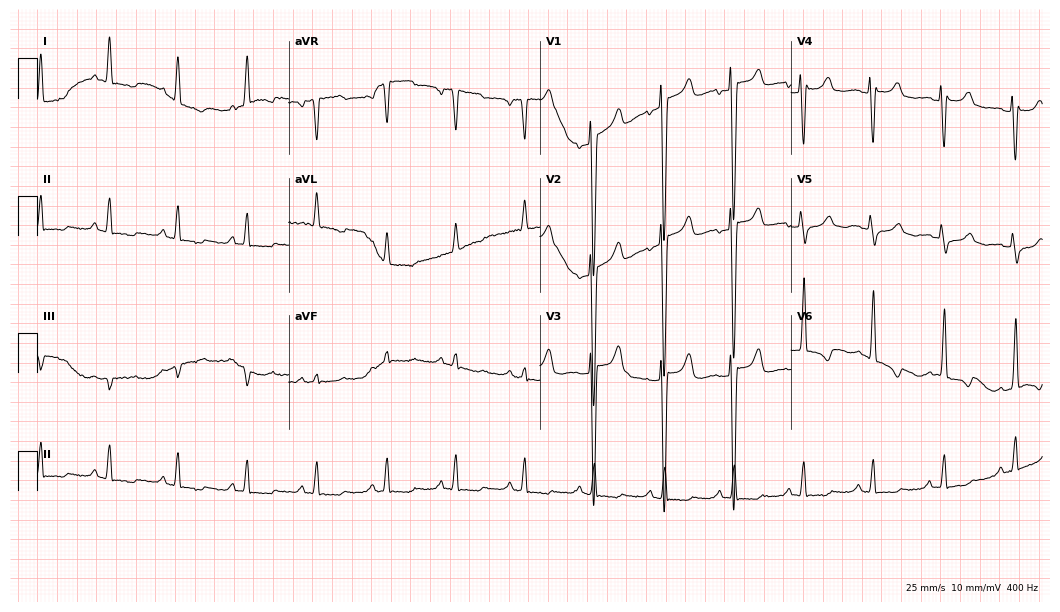
12-lead ECG from a woman, 75 years old. Screened for six findings — first-degree AV block, right bundle branch block, left bundle branch block, sinus bradycardia, atrial fibrillation, sinus tachycardia — none is recorded.